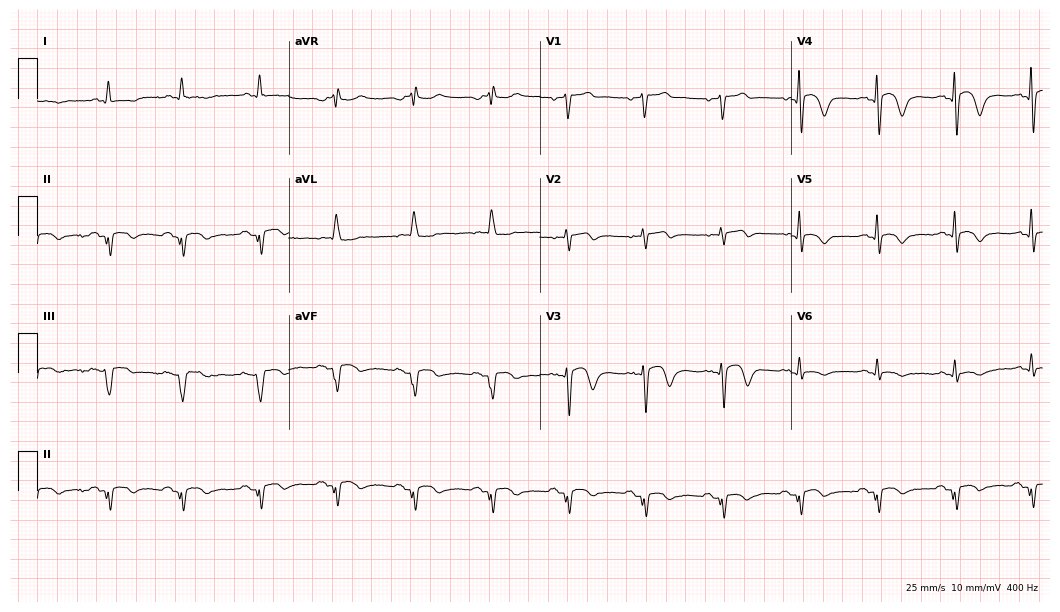
12-lead ECG (10.2-second recording at 400 Hz) from a male, 69 years old. Screened for six findings — first-degree AV block, right bundle branch block, left bundle branch block, sinus bradycardia, atrial fibrillation, sinus tachycardia — none is recorded. Findings outside these six are not listed.